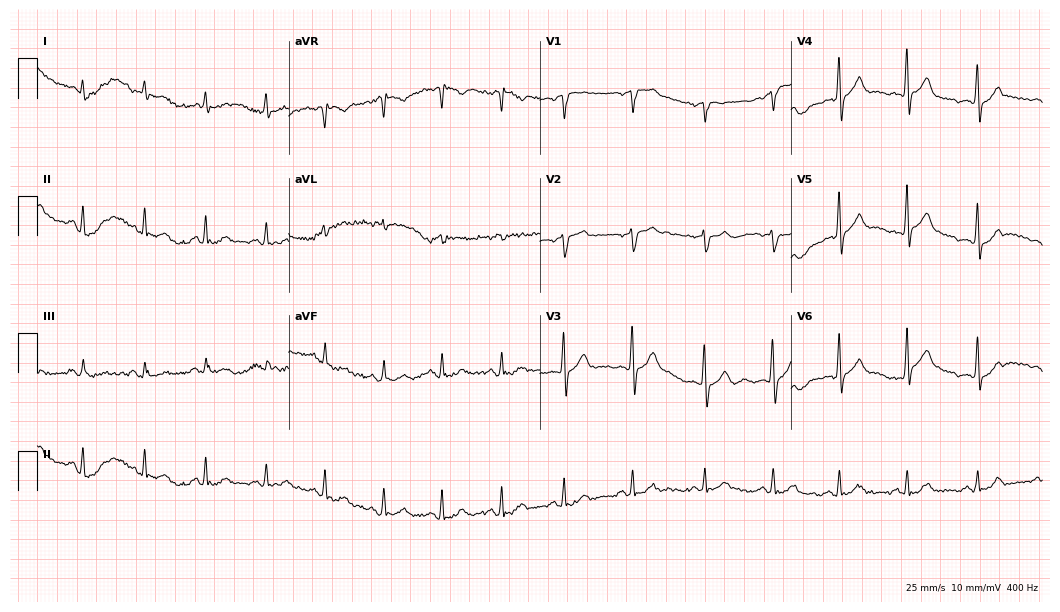
12-lead ECG from a 44-year-old male. Recorded interpretation: within normal limits.